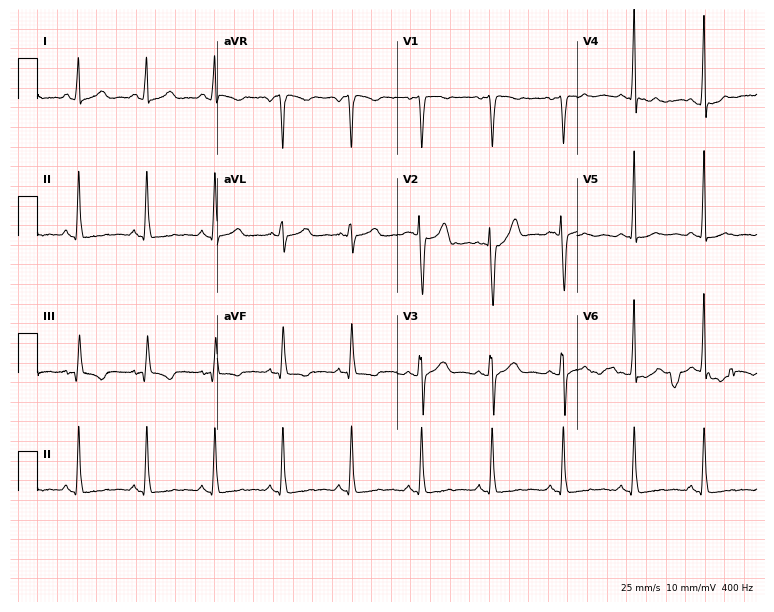
12-lead ECG (7.3-second recording at 400 Hz) from a female, 38 years old. Screened for six findings — first-degree AV block, right bundle branch block, left bundle branch block, sinus bradycardia, atrial fibrillation, sinus tachycardia — none is recorded. Only these six findings were labelled.